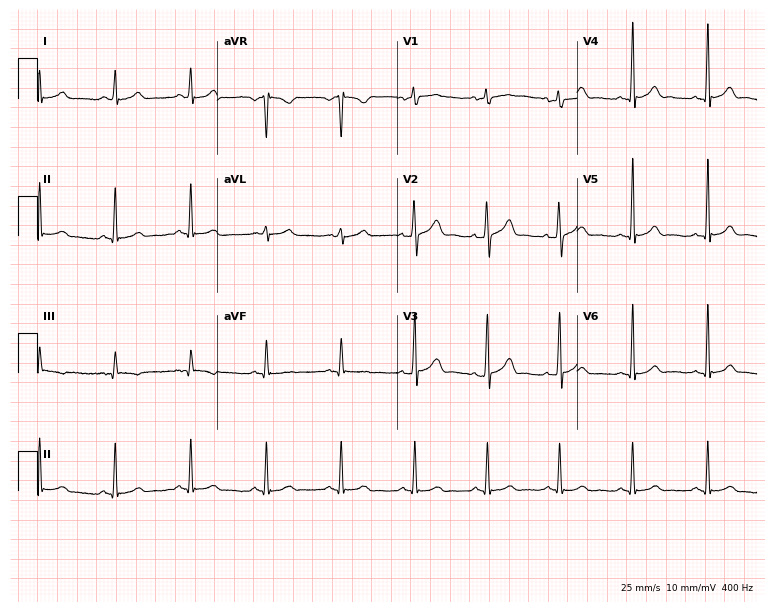
Resting 12-lead electrocardiogram. Patient: a male, 48 years old. Read as a normal ECG.